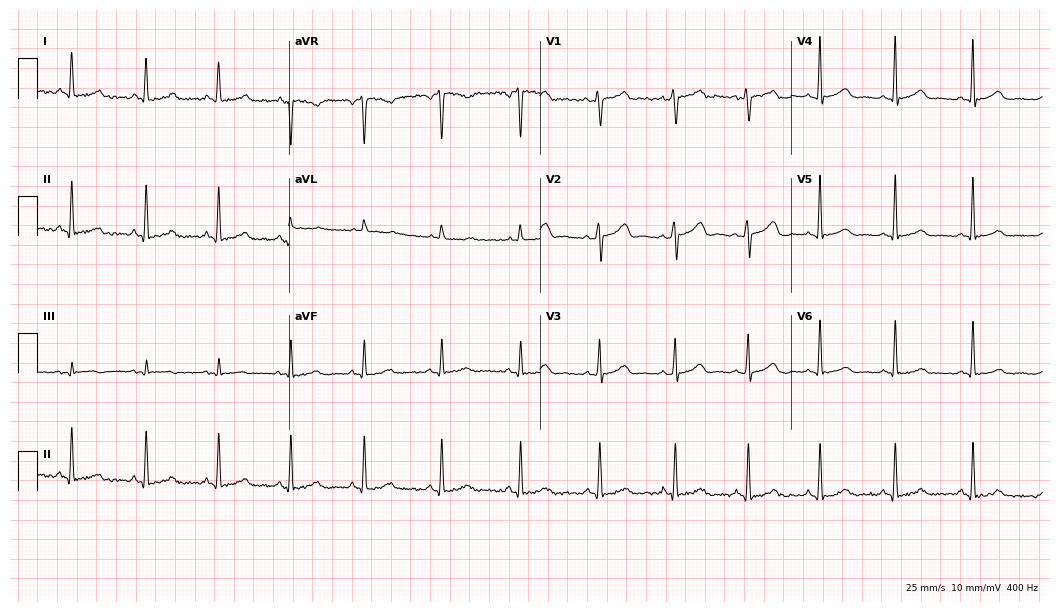
Resting 12-lead electrocardiogram. Patient: a female, 35 years old. Read as a normal ECG.